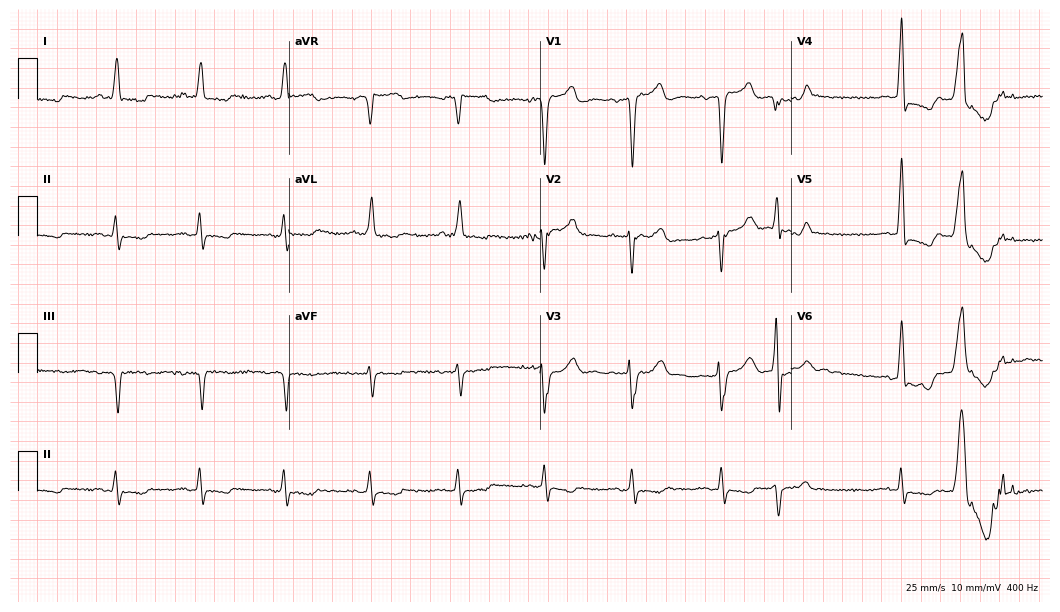
12-lead ECG from a man, 76 years old (10.2-second recording at 400 Hz). No first-degree AV block, right bundle branch block, left bundle branch block, sinus bradycardia, atrial fibrillation or sinus tachycardia recorded for this tracing.